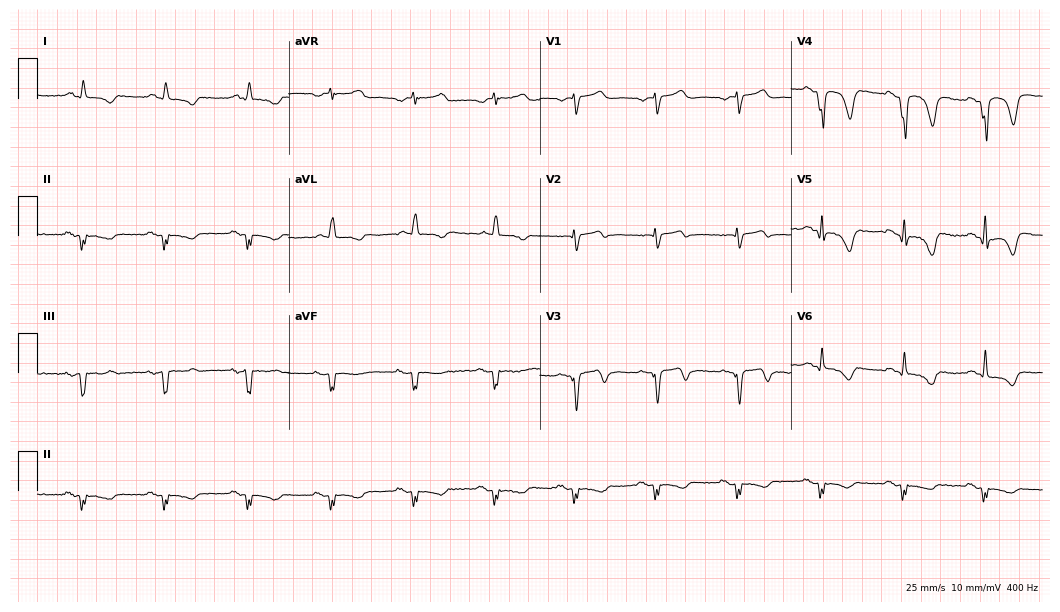
12-lead ECG from a male, 62 years old (10.2-second recording at 400 Hz). Recorded interpretation: within normal limits.